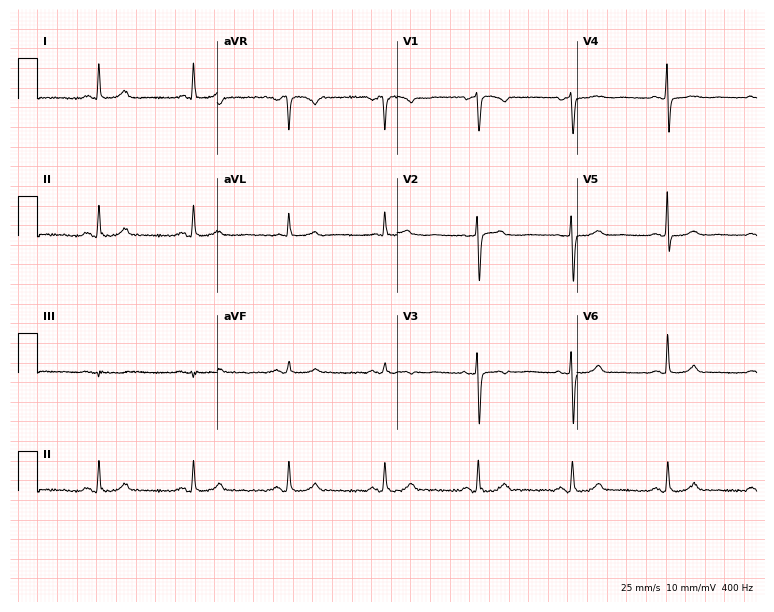
12-lead ECG (7.3-second recording at 400 Hz) from a woman, 66 years old. Labelled as a normal ECG.